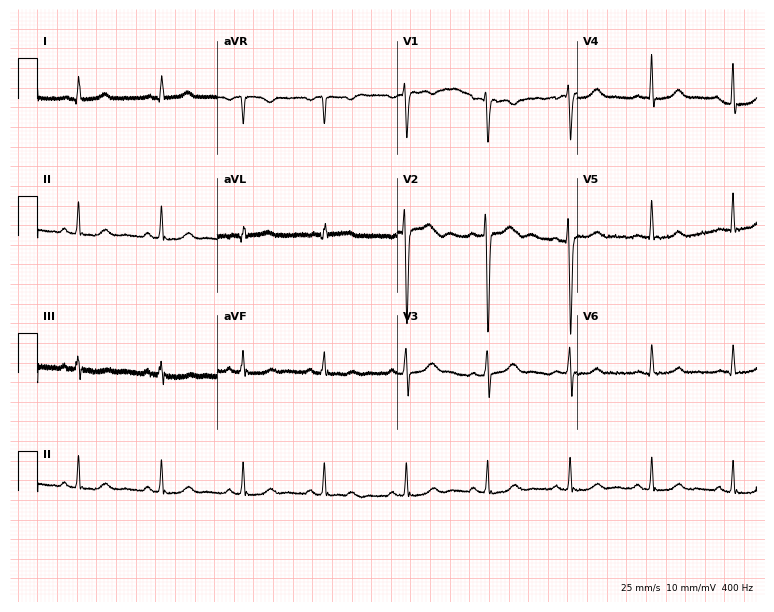
Electrocardiogram (7.3-second recording at 400 Hz), a 39-year-old woman. Of the six screened findings (first-degree AV block, right bundle branch block, left bundle branch block, sinus bradycardia, atrial fibrillation, sinus tachycardia), none is recorded.